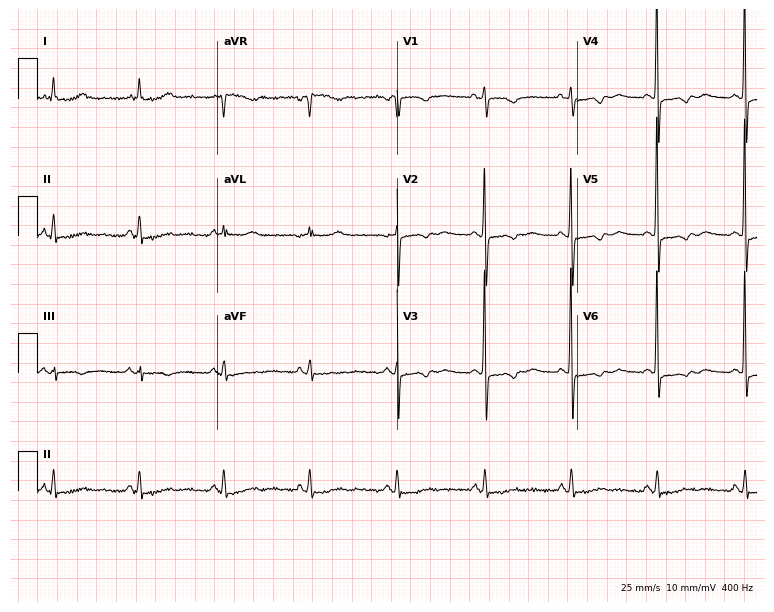
Resting 12-lead electrocardiogram (7.3-second recording at 400 Hz). Patient: a female, 65 years old. None of these six findings is recorded: first-degree AV block, right bundle branch block, left bundle branch block, sinus bradycardia, atrial fibrillation, sinus tachycardia.